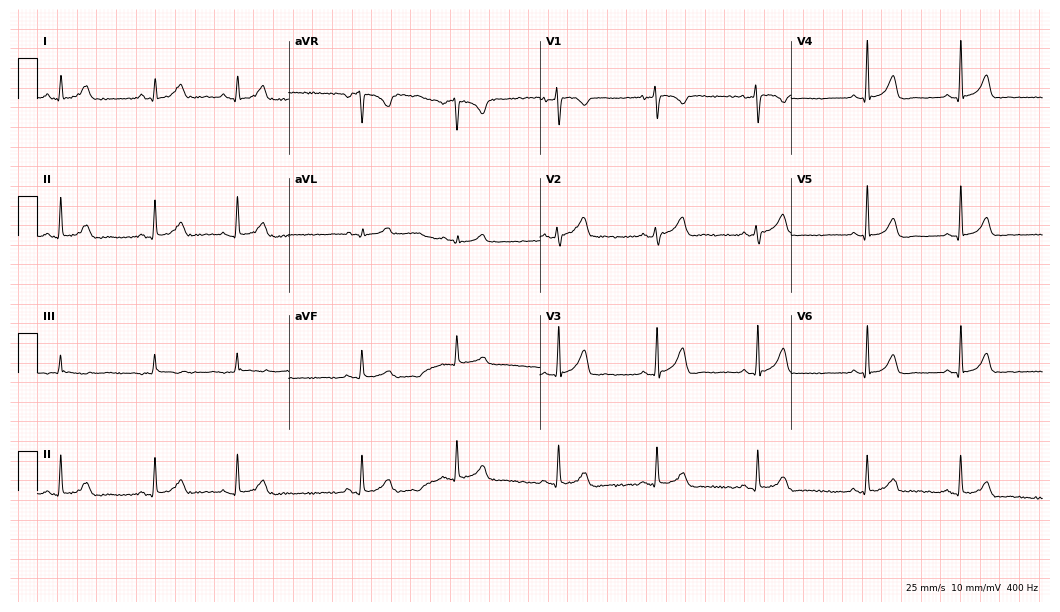
ECG — a female patient, 24 years old. Labelled as a normal ECG.